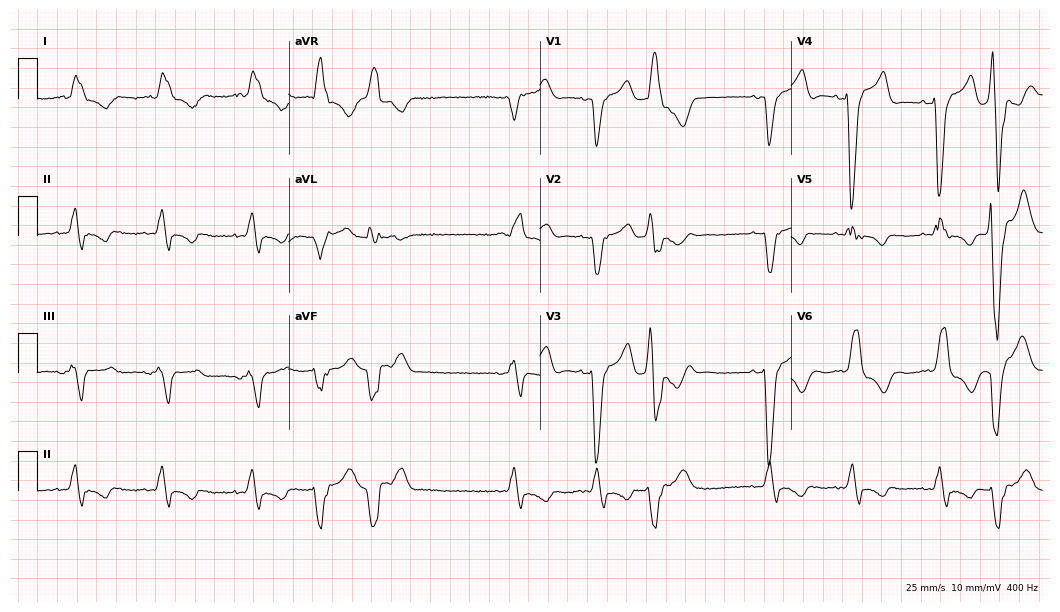
Standard 12-lead ECG recorded from a male, 76 years old (10.2-second recording at 400 Hz). The tracing shows left bundle branch block (LBBB).